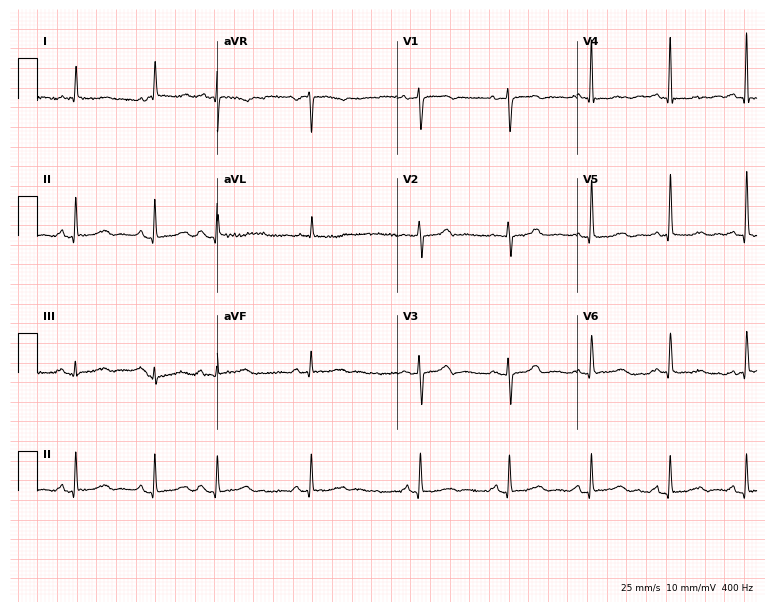
12-lead ECG from a female patient, 73 years old. No first-degree AV block, right bundle branch block (RBBB), left bundle branch block (LBBB), sinus bradycardia, atrial fibrillation (AF) or sinus tachycardia recorded for this tracing.